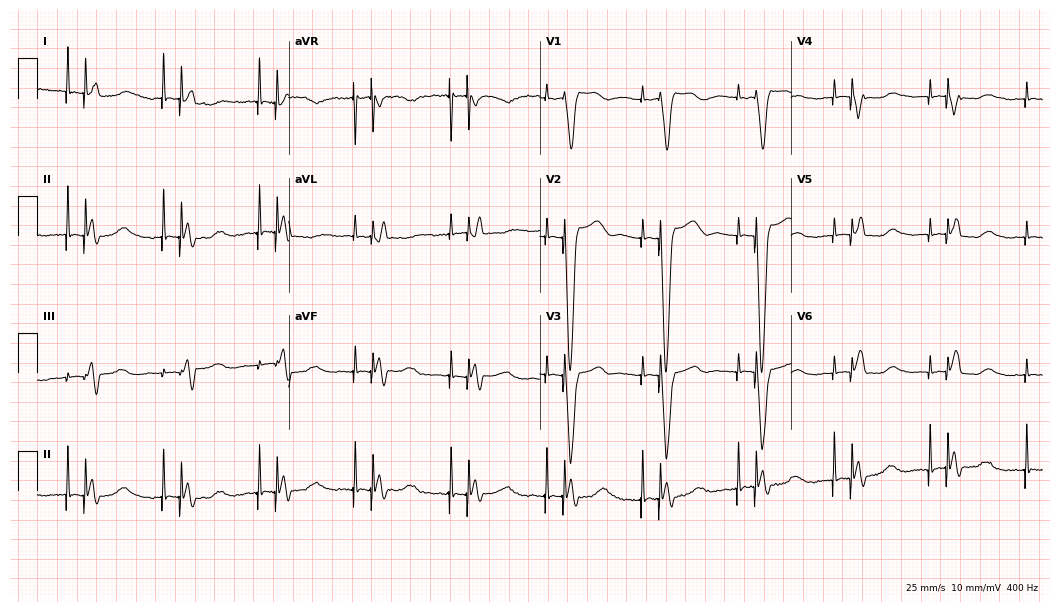
12-lead ECG from a 75-year-old female (10.2-second recording at 400 Hz). No first-degree AV block, right bundle branch block (RBBB), left bundle branch block (LBBB), sinus bradycardia, atrial fibrillation (AF) or sinus tachycardia recorded for this tracing.